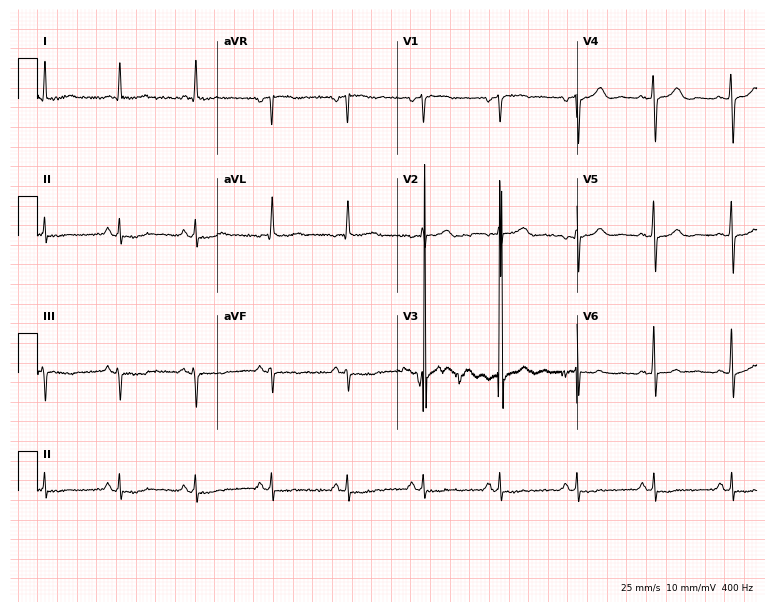
Standard 12-lead ECG recorded from a man, 59 years old. None of these six findings is recorded: first-degree AV block, right bundle branch block, left bundle branch block, sinus bradycardia, atrial fibrillation, sinus tachycardia. Only these six findings were labelled.